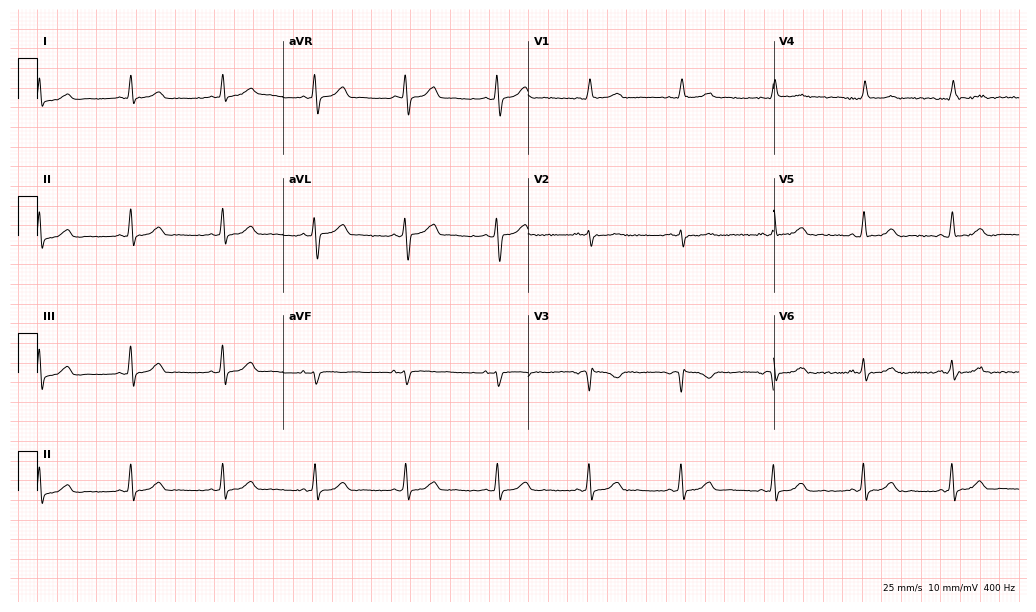
12-lead ECG (10-second recording at 400 Hz) from a 53-year-old female. Screened for six findings — first-degree AV block, right bundle branch block (RBBB), left bundle branch block (LBBB), sinus bradycardia, atrial fibrillation (AF), sinus tachycardia — none is recorded. Other findings, if any, are not listed.